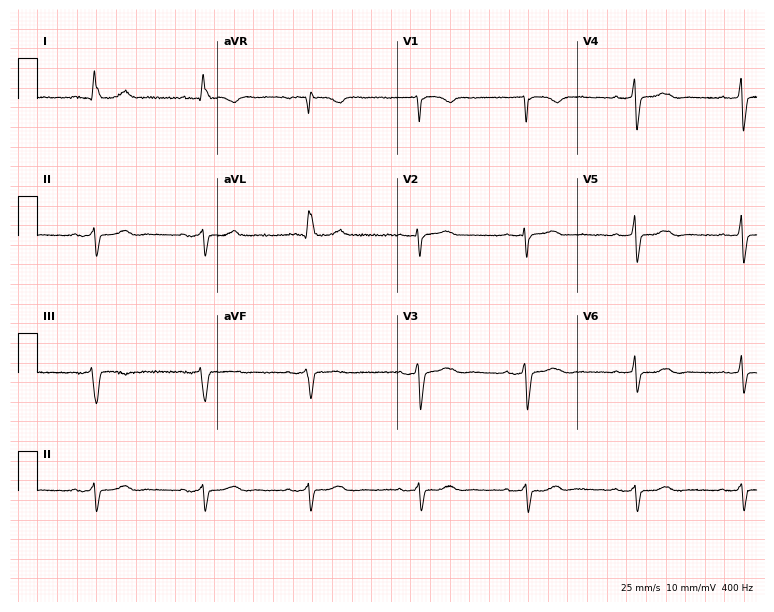
12-lead ECG from a 77-year-old woman (7.3-second recording at 400 Hz). No first-degree AV block, right bundle branch block (RBBB), left bundle branch block (LBBB), sinus bradycardia, atrial fibrillation (AF) or sinus tachycardia recorded for this tracing.